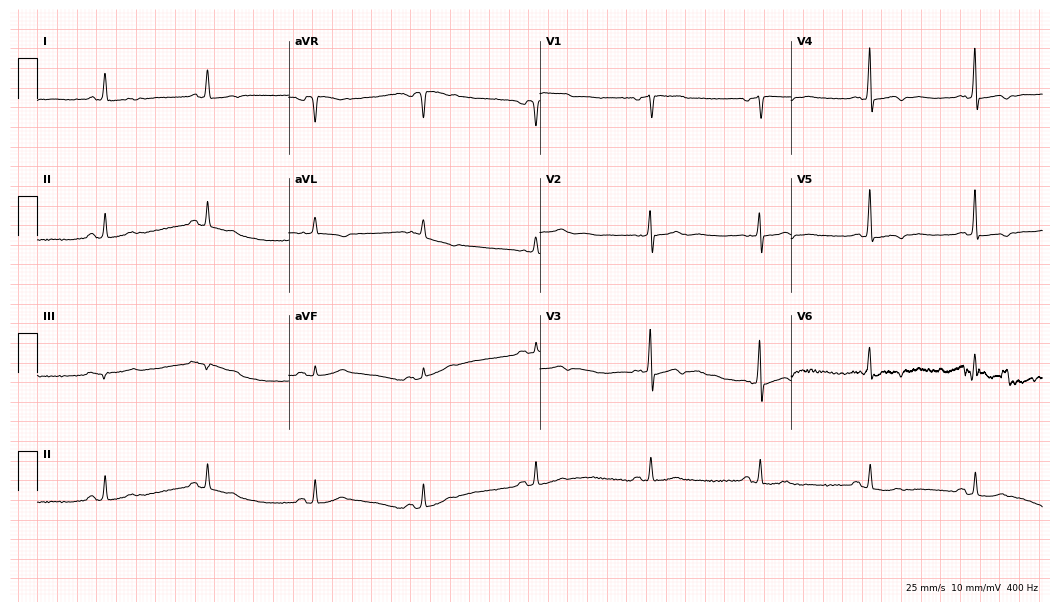
12-lead ECG (10.2-second recording at 400 Hz) from a female patient, 80 years old. Screened for six findings — first-degree AV block, right bundle branch block (RBBB), left bundle branch block (LBBB), sinus bradycardia, atrial fibrillation (AF), sinus tachycardia — none is recorded. Other findings, if any, are not listed.